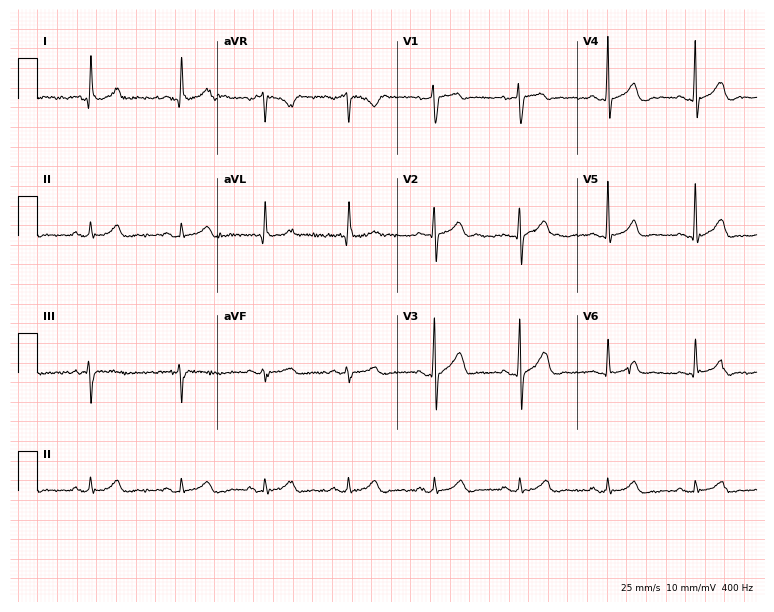
Standard 12-lead ECG recorded from a 54-year-old male (7.3-second recording at 400 Hz). Read as a normal ECG.